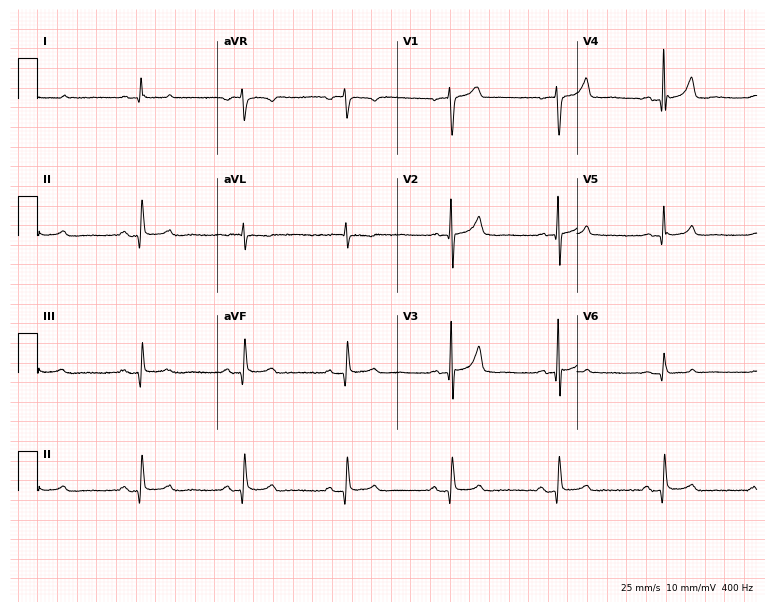
Resting 12-lead electrocardiogram. Patient: a man, 85 years old. Read as a normal ECG.